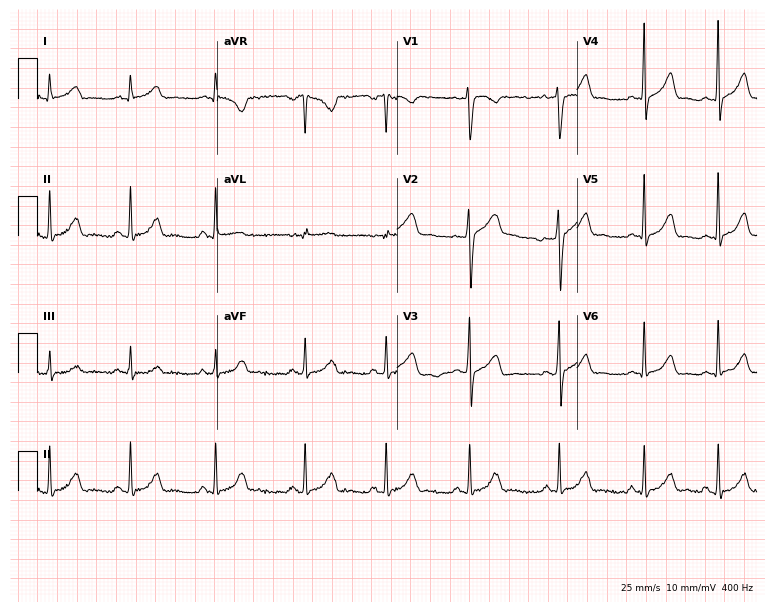
Resting 12-lead electrocardiogram (7.3-second recording at 400 Hz). Patient: a 21-year-old female. Read as a normal ECG.